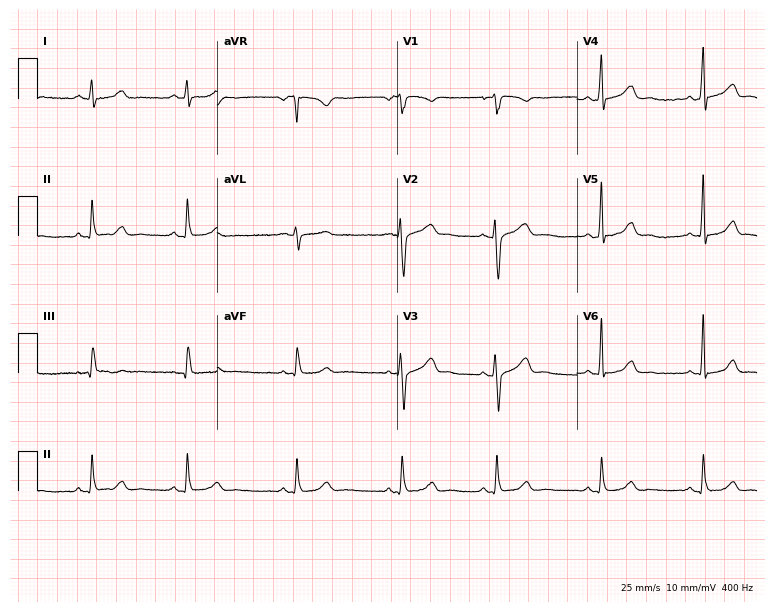
12-lead ECG (7.3-second recording at 400 Hz) from a female patient, 36 years old. Screened for six findings — first-degree AV block, right bundle branch block, left bundle branch block, sinus bradycardia, atrial fibrillation, sinus tachycardia — none is recorded. Only these six findings were labelled.